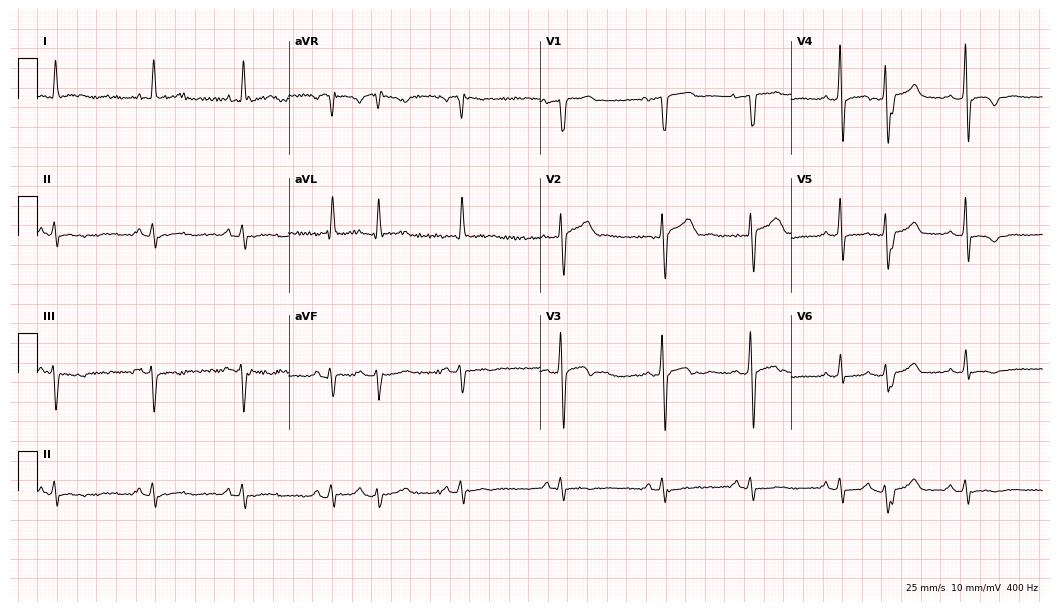
Resting 12-lead electrocardiogram (10.2-second recording at 400 Hz). Patient: a 68-year-old male. None of these six findings is recorded: first-degree AV block, right bundle branch block, left bundle branch block, sinus bradycardia, atrial fibrillation, sinus tachycardia.